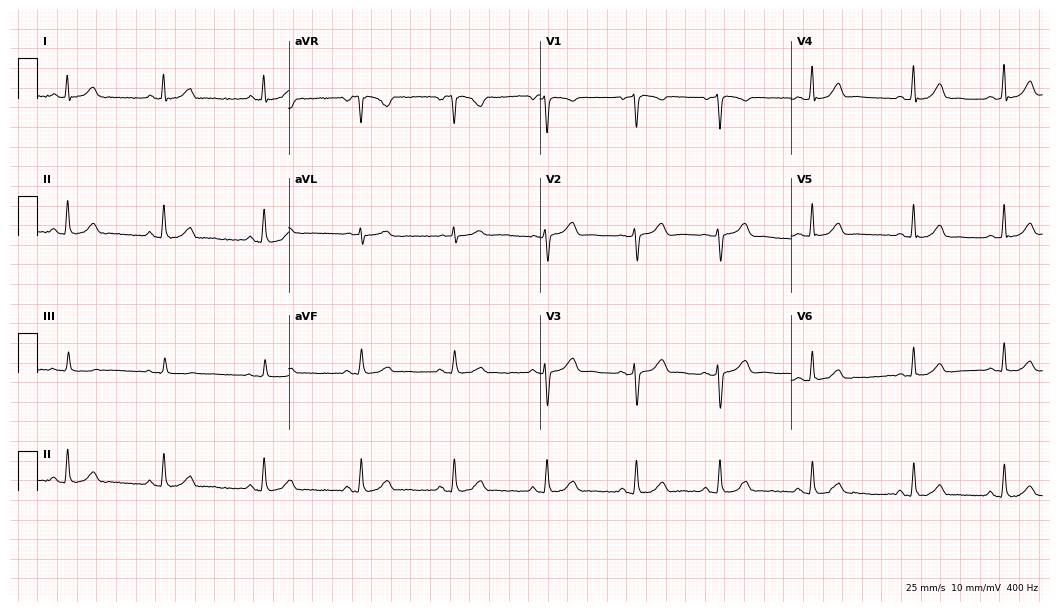
12-lead ECG (10.2-second recording at 400 Hz) from a 48-year-old woman. Labelled as a normal ECG.